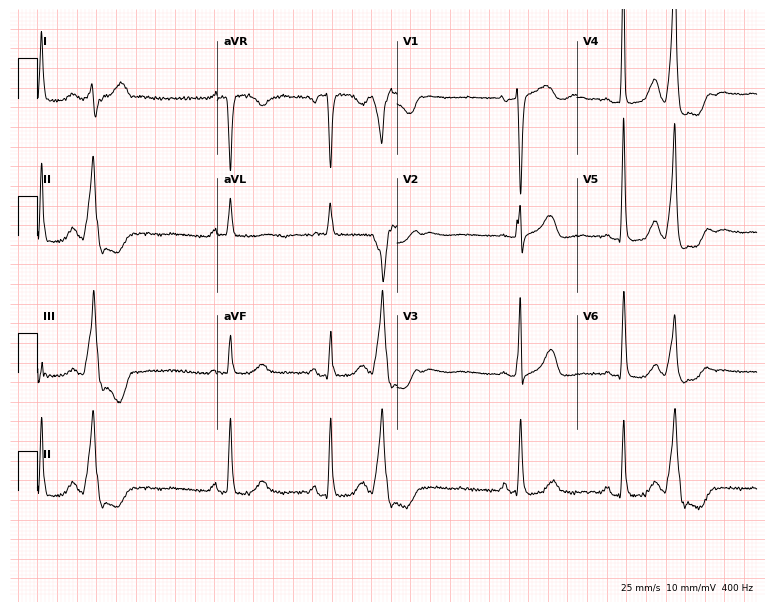
ECG — a female patient, 81 years old. Screened for six findings — first-degree AV block, right bundle branch block (RBBB), left bundle branch block (LBBB), sinus bradycardia, atrial fibrillation (AF), sinus tachycardia — none is recorded. Only these six findings were labelled.